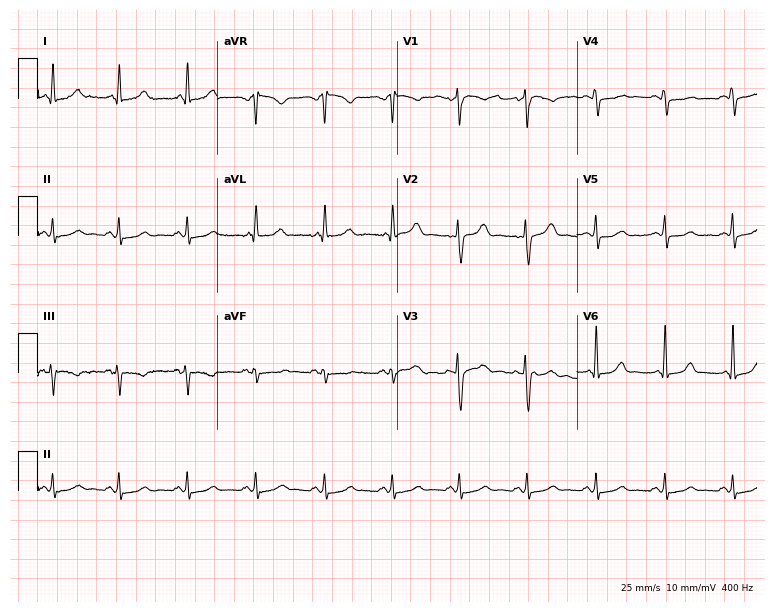
12-lead ECG from a female, 42 years old. Recorded interpretation: within normal limits.